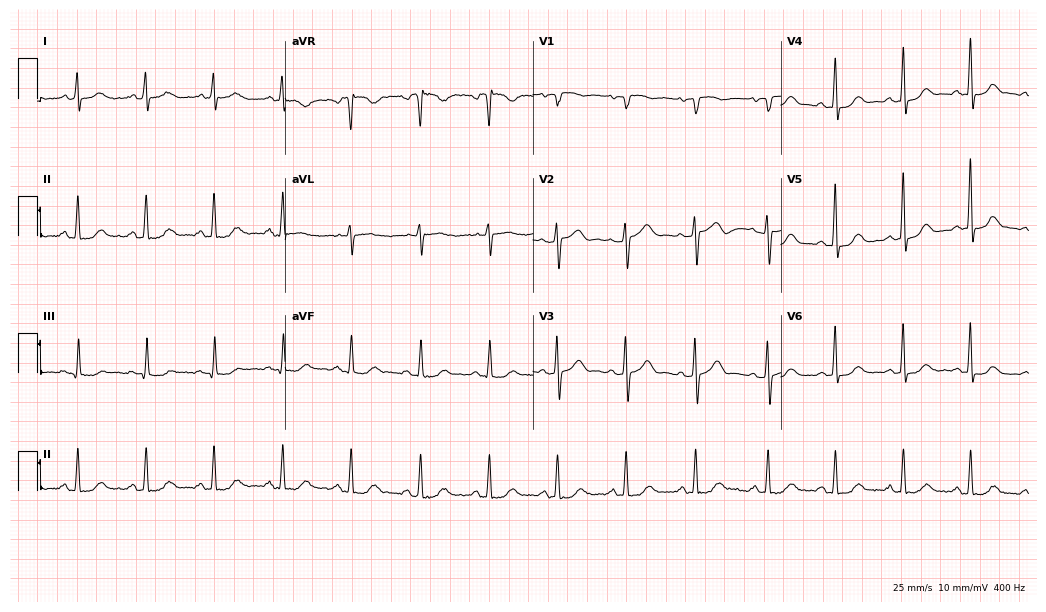
Resting 12-lead electrocardiogram. Patient: a female, 66 years old. Read as a normal ECG.